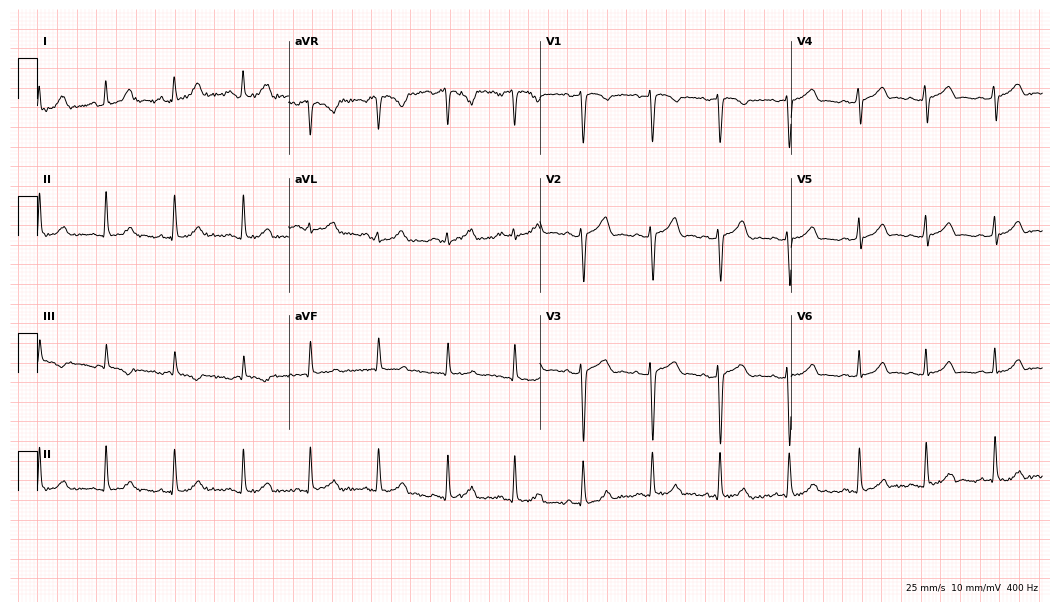
Electrocardiogram, a female, 20 years old. Overall reading on record: normal ECG.